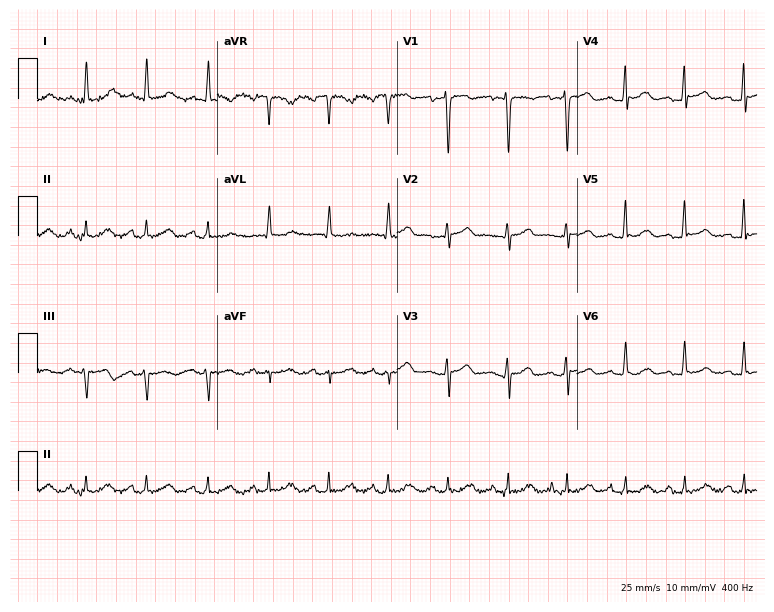
ECG — a female, 59 years old. Labelled as a normal ECG.